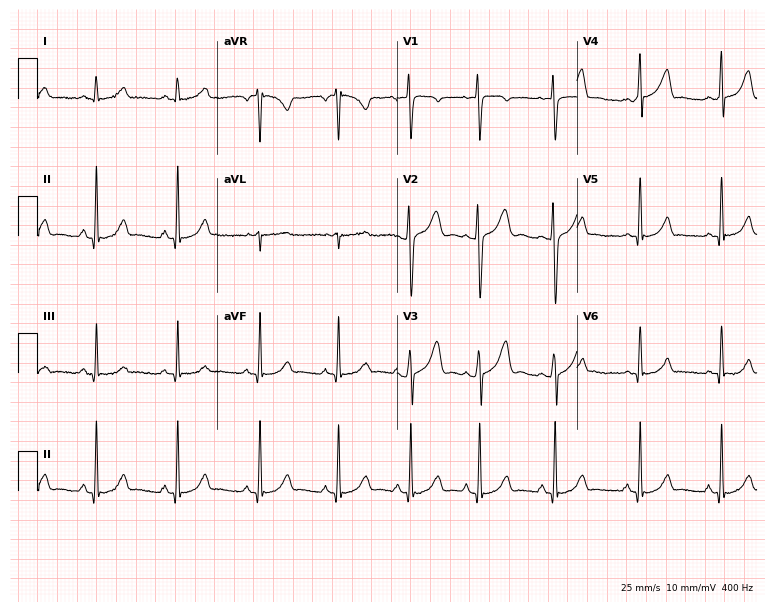
Resting 12-lead electrocardiogram (7.3-second recording at 400 Hz). Patient: a female, 22 years old. Read as a normal ECG.